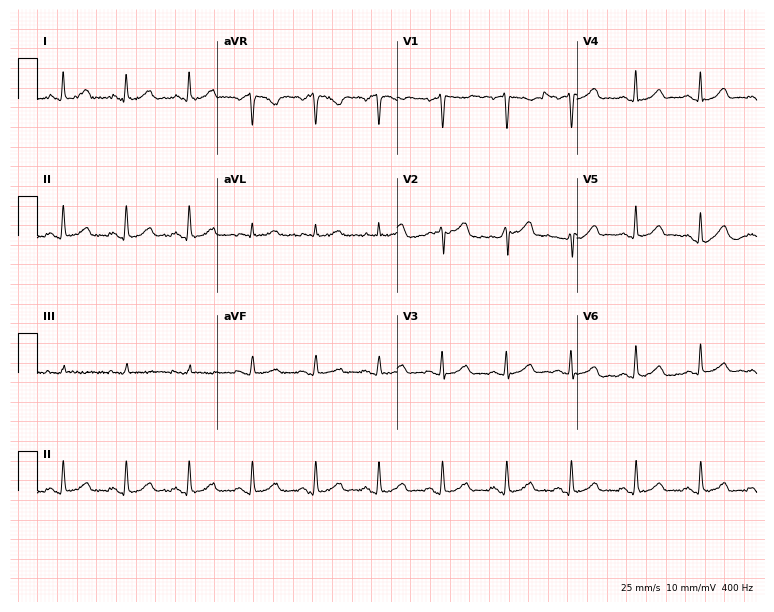
ECG — a 60-year-old female. Labelled as a normal ECG.